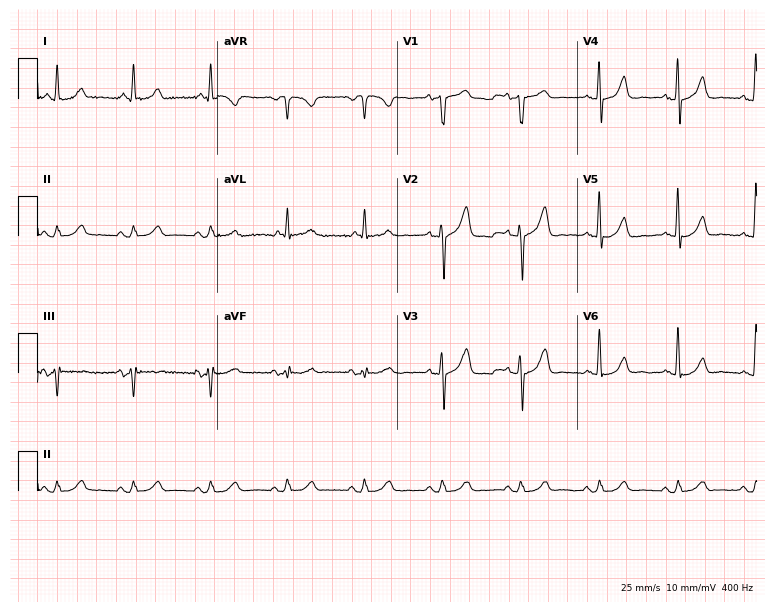
Resting 12-lead electrocardiogram. Patient: a 79-year-old male. Read as a normal ECG.